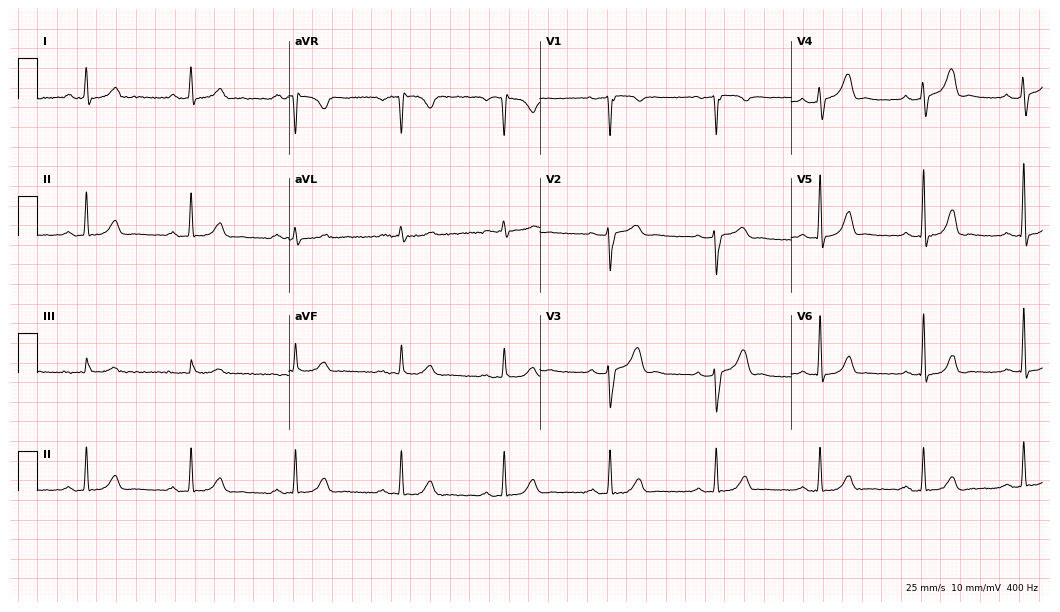
12-lead ECG (10.2-second recording at 400 Hz) from a male, 50 years old. Labelled as a normal ECG.